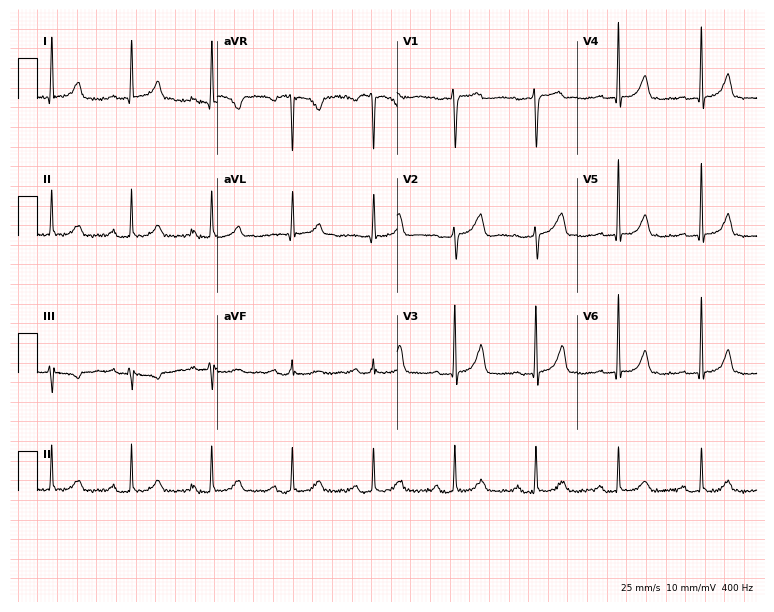
12-lead ECG from a female, 71 years old. Findings include first-degree AV block.